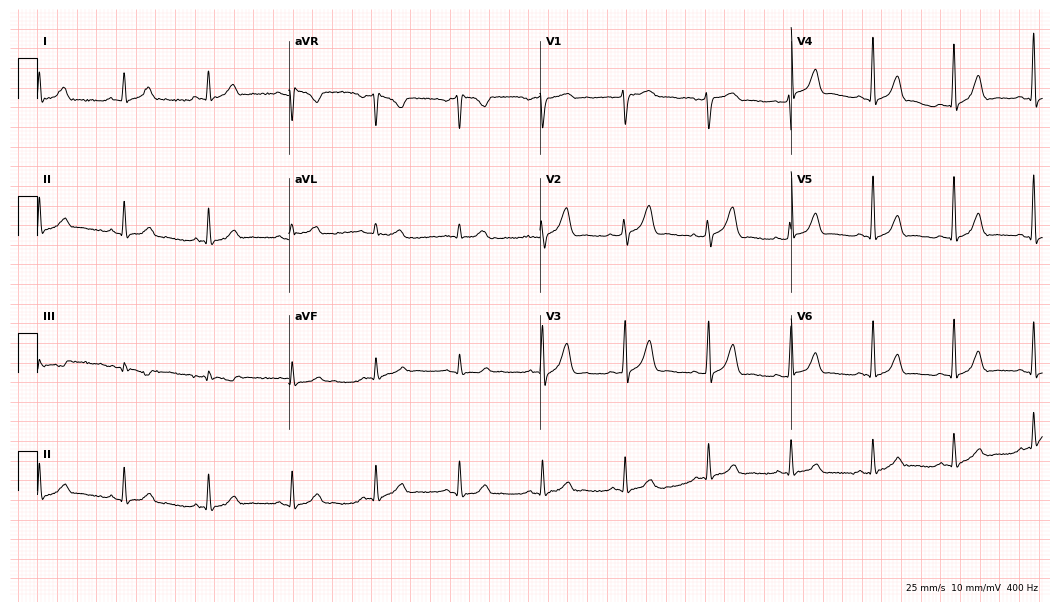
ECG — a 54-year-old man. Labelled as a normal ECG.